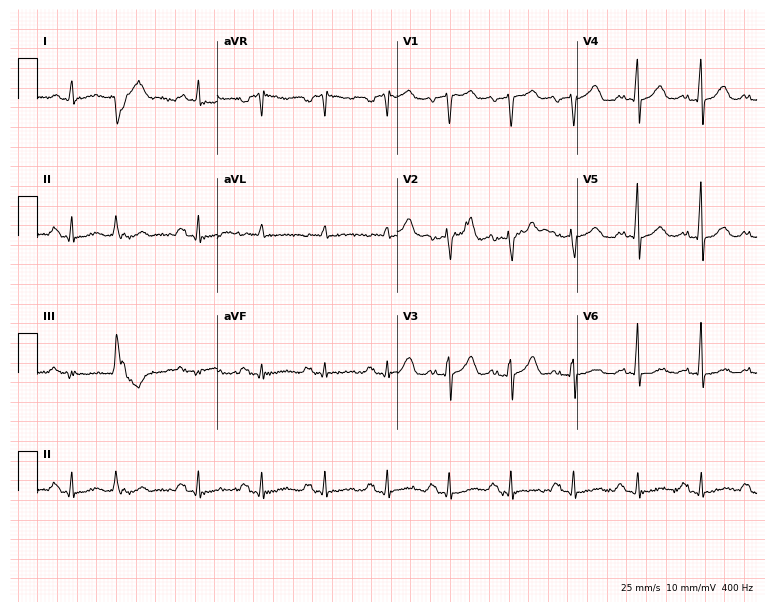
ECG — a male, 82 years old. Screened for six findings — first-degree AV block, right bundle branch block (RBBB), left bundle branch block (LBBB), sinus bradycardia, atrial fibrillation (AF), sinus tachycardia — none is recorded.